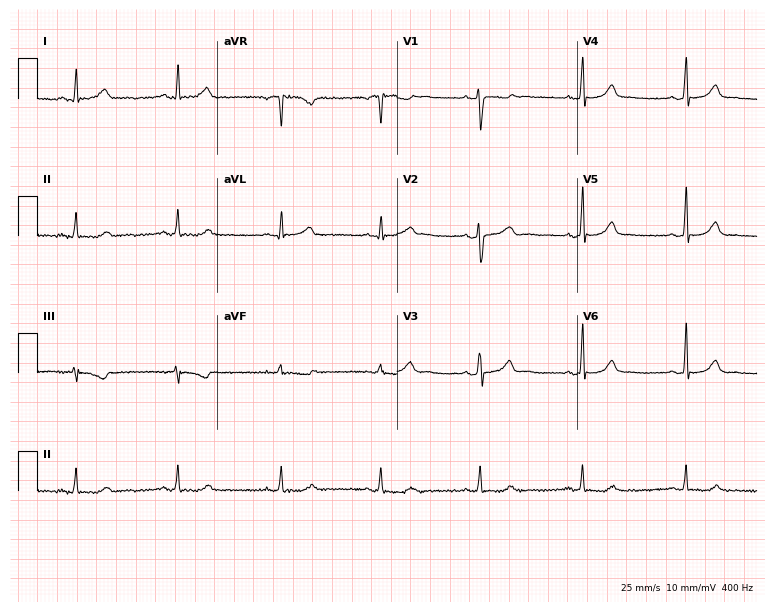
Resting 12-lead electrocardiogram (7.3-second recording at 400 Hz). Patient: a 31-year-old female. Read as a normal ECG.